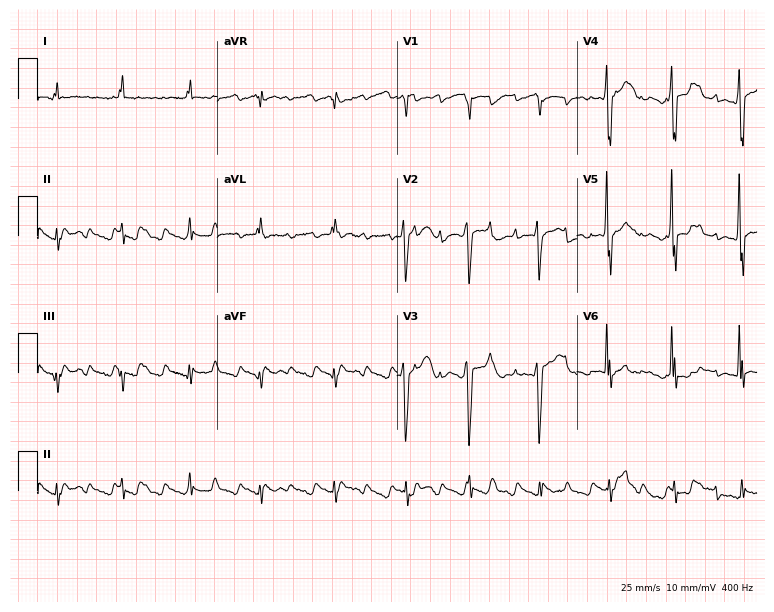
Electrocardiogram, a male, 77 years old. Of the six screened findings (first-degree AV block, right bundle branch block, left bundle branch block, sinus bradycardia, atrial fibrillation, sinus tachycardia), none is recorded.